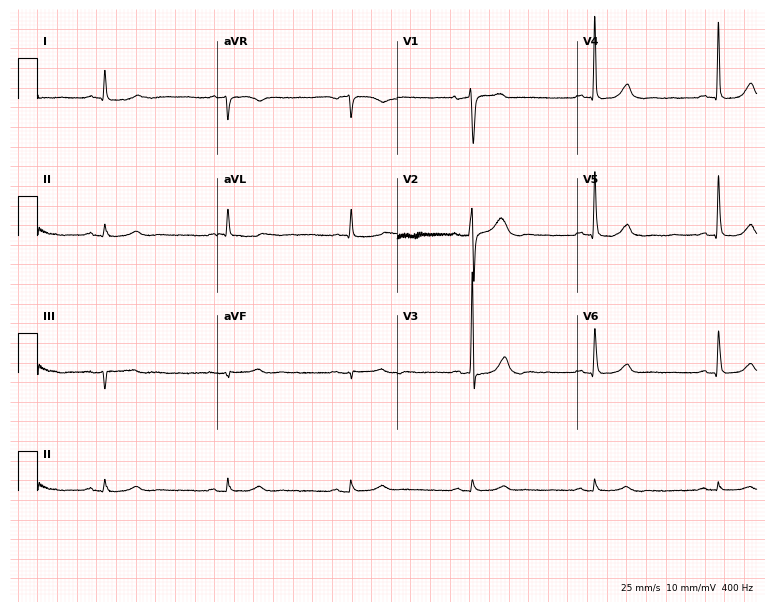
Standard 12-lead ECG recorded from a male patient, 75 years old. The tracing shows sinus bradycardia (a sinus rate of 50 beats per minute or less).